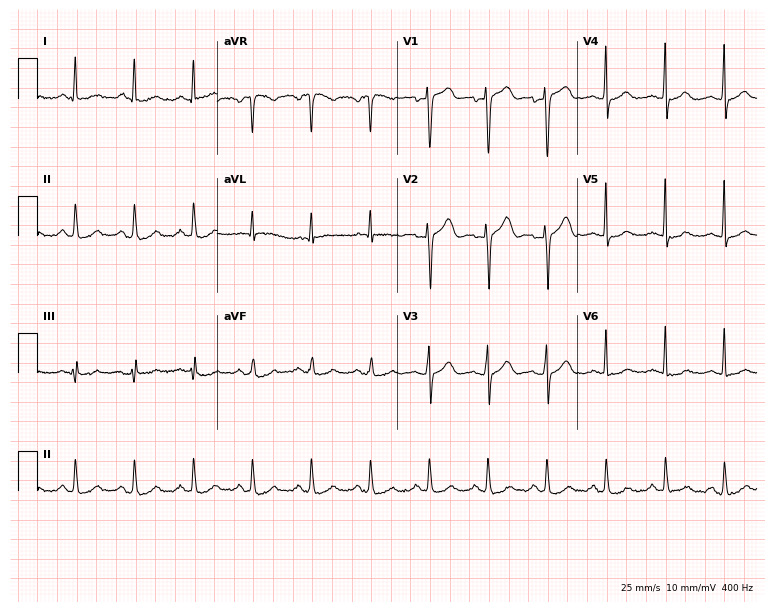
ECG — a male patient, 47 years old. Screened for six findings — first-degree AV block, right bundle branch block (RBBB), left bundle branch block (LBBB), sinus bradycardia, atrial fibrillation (AF), sinus tachycardia — none is recorded. Only these six findings were labelled.